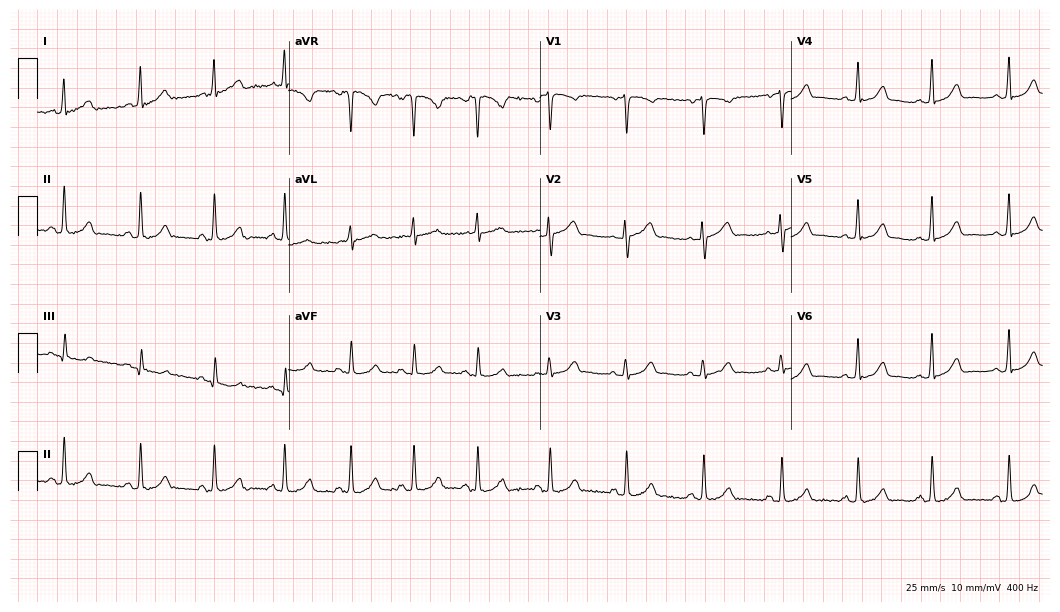
ECG (10.2-second recording at 400 Hz) — a woman, 39 years old. Labelled as a normal ECG.